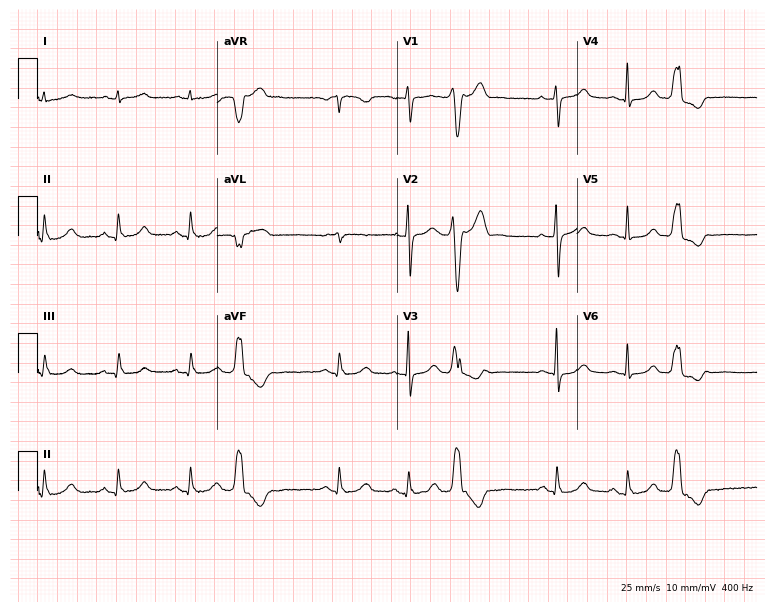
Standard 12-lead ECG recorded from a 47-year-old female patient (7.3-second recording at 400 Hz). Read as a normal ECG.